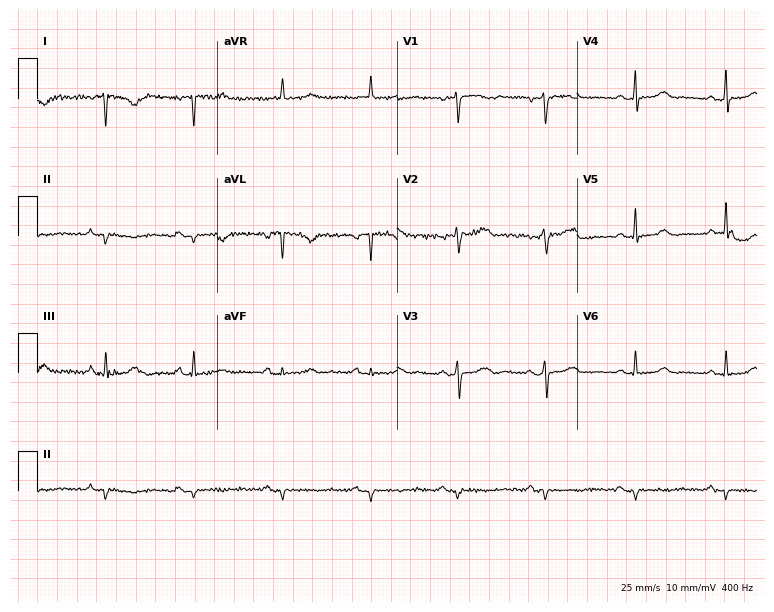
12-lead ECG (7.3-second recording at 400 Hz) from a 73-year-old woman. Screened for six findings — first-degree AV block, right bundle branch block, left bundle branch block, sinus bradycardia, atrial fibrillation, sinus tachycardia — none is recorded. Only these six findings were labelled.